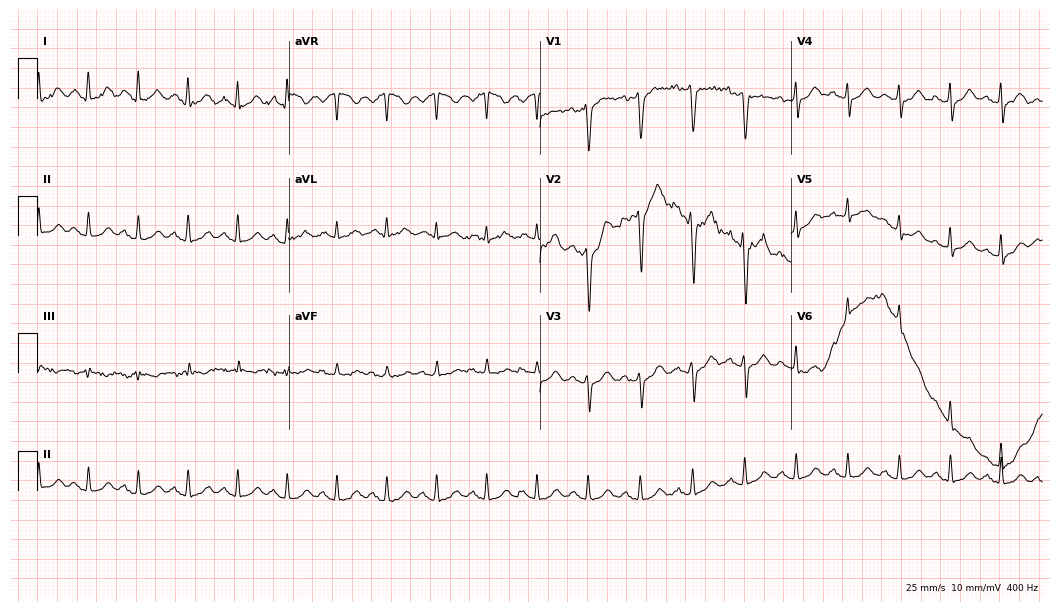
12-lead ECG from a 37-year-old man. Screened for six findings — first-degree AV block, right bundle branch block, left bundle branch block, sinus bradycardia, atrial fibrillation, sinus tachycardia — none is recorded.